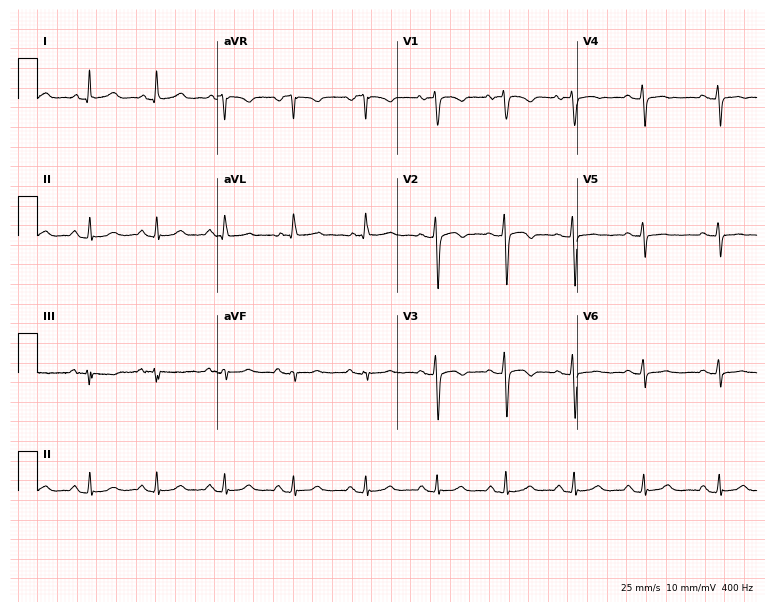
Electrocardiogram (7.3-second recording at 400 Hz), a woman, 49 years old. Of the six screened findings (first-degree AV block, right bundle branch block, left bundle branch block, sinus bradycardia, atrial fibrillation, sinus tachycardia), none is recorded. Findings outside these six are not listed.